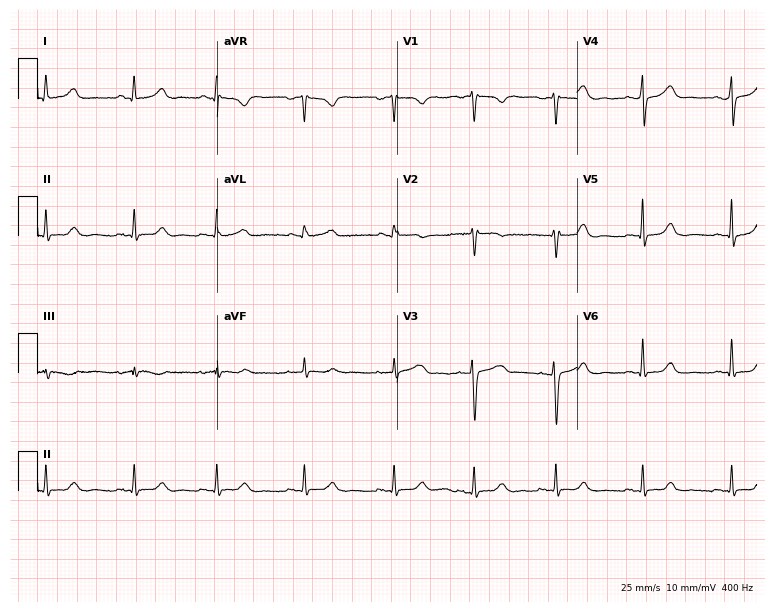
Standard 12-lead ECG recorded from a 31-year-old female patient. None of these six findings is recorded: first-degree AV block, right bundle branch block (RBBB), left bundle branch block (LBBB), sinus bradycardia, atrial fibrillation (AF), sinus tachycardia. Findings outside these six are not listed.